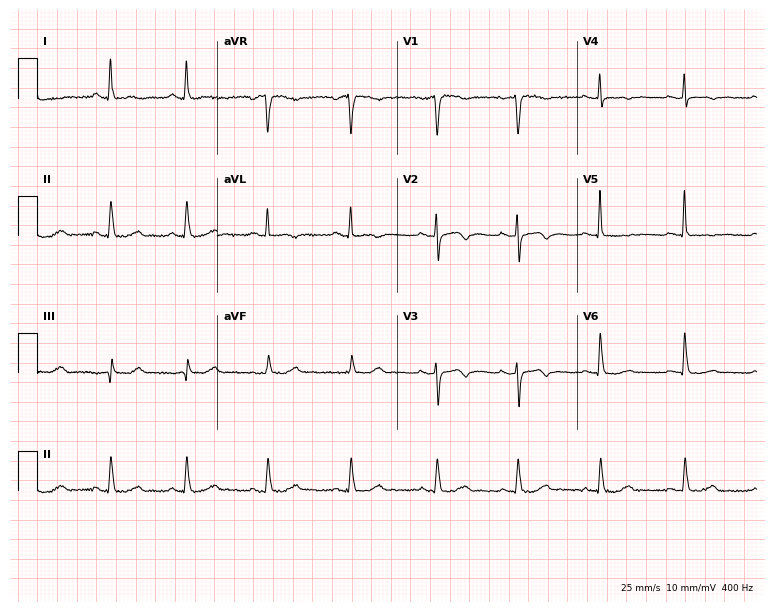
12-lead ECG from a female, 60 years old. No first-degree AV block, right bundle branch block, left bundle branch block, sinus bradycardia, atrial fibrillation or sinus tachycardia recorded for this tracing.